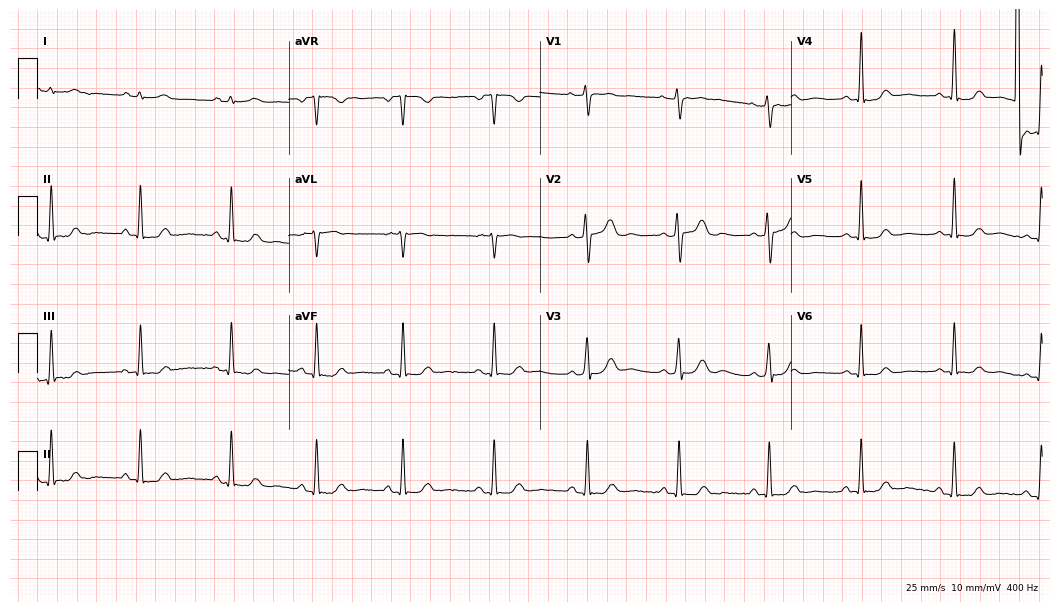
Resting 12-lead electrocardiogram. Patient: a female, 43 years old. None of these six findings is recorded: first-degree AV block, right bundle branch block, left bundle branch block, sinus bradycardia, atrial fibrillation, sinus tachycardia.